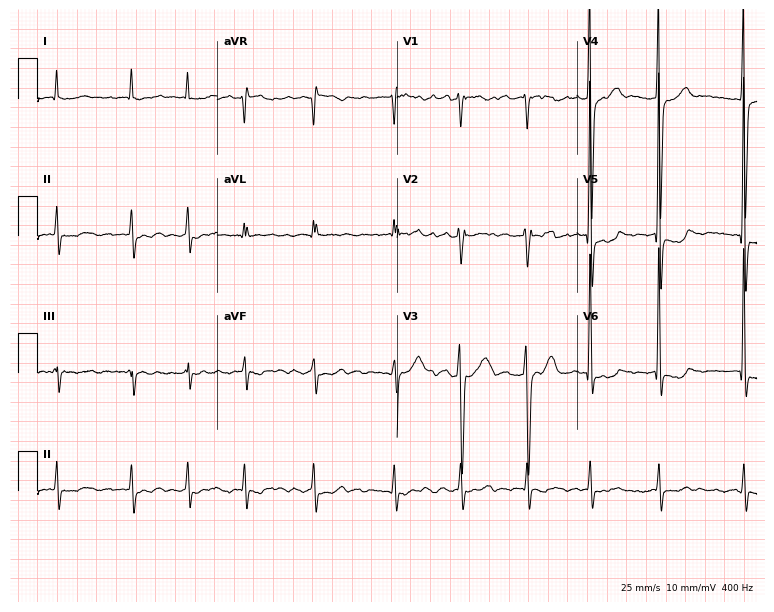
Electrocardiogram (7.3-second recording at 400 Hz), a female patient, 82 years old. Interpretation includes atrial fibrillation (AF).